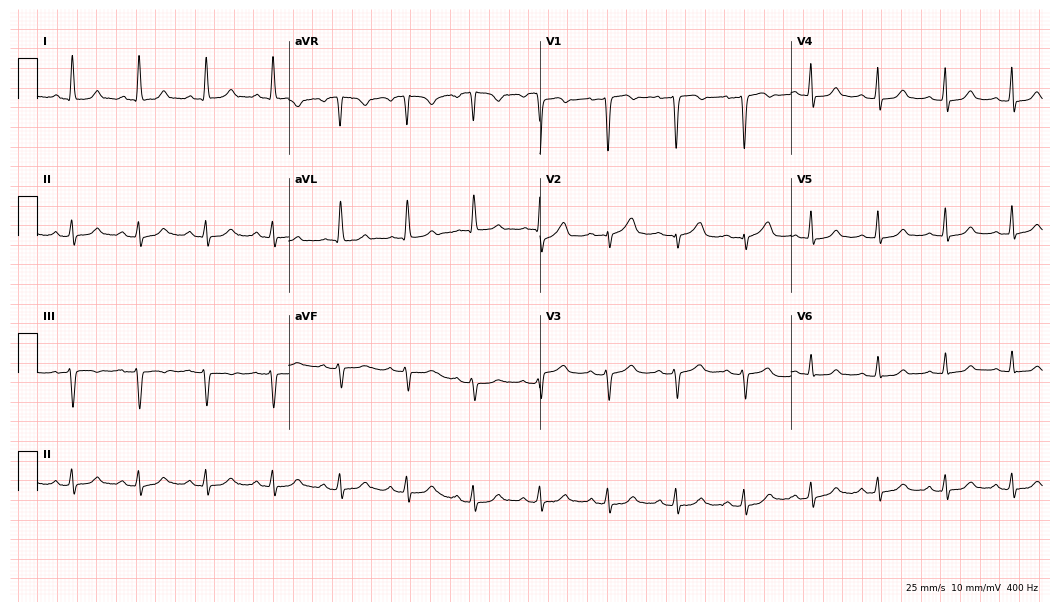
12-lead ECG from a 54-year-old woman. Screened for six findings — first-degree AV block, right bundle branch block, left bundle branch block, sinus bradycardia, atrial fibrillation, sinus tachycardia — none is recorded.